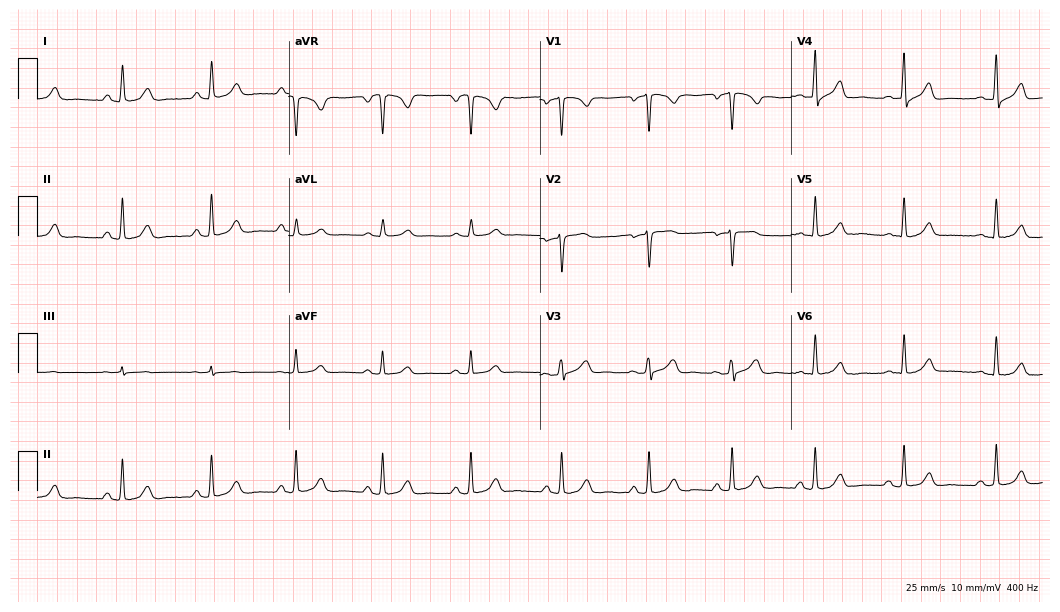
ECG — a female patient, 45 years old. Labelled as a normal ECG.